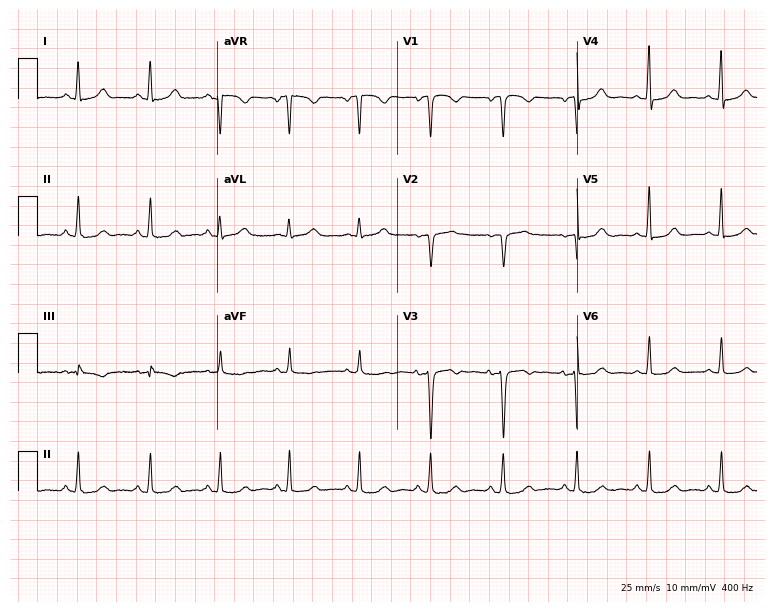
12-lead ECG from a woman, 51 years old. Labelled as a normal ECG.